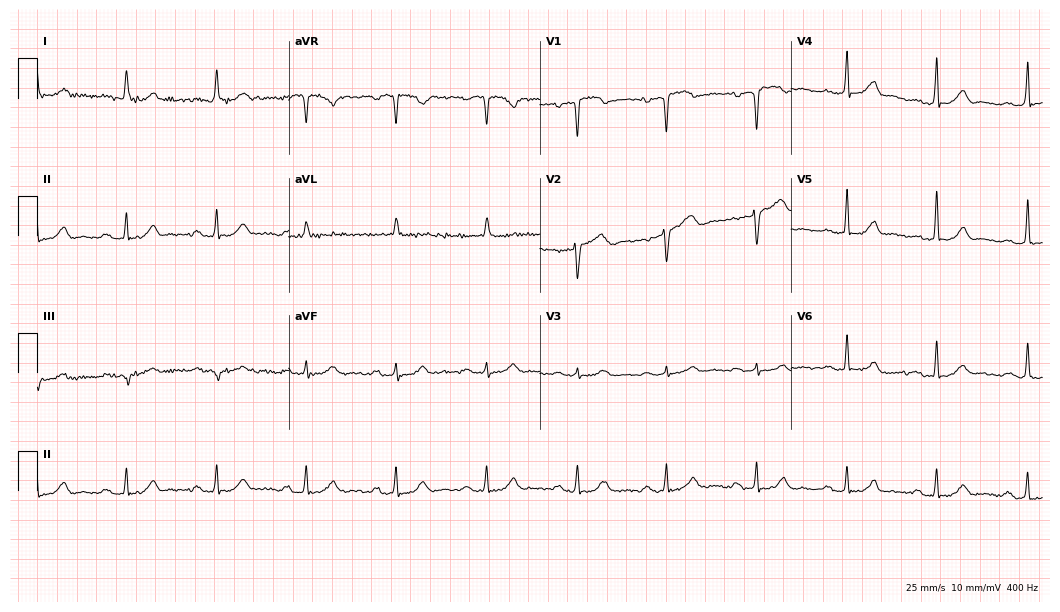
Resting 12-lead electrocardiogram. Patient: a 78-year-old man. Read as a normal ECG.